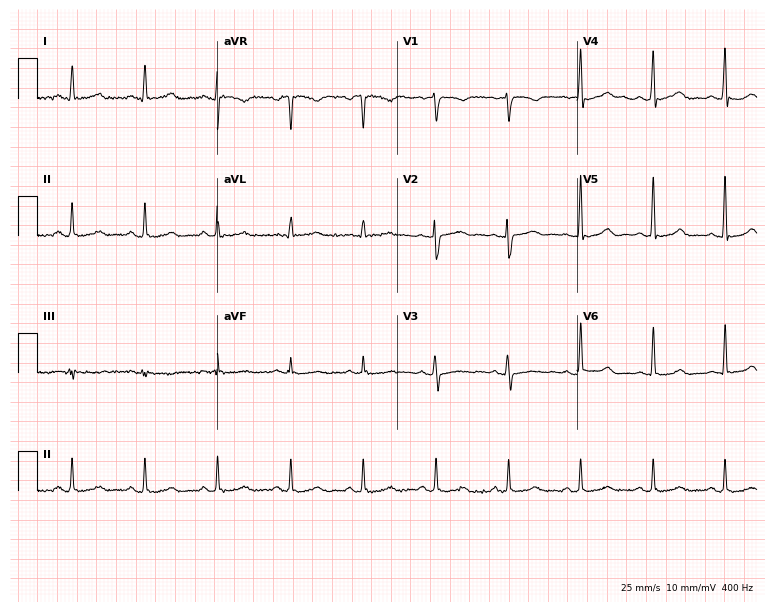
Standard 12-lead ECG recorded from a woman, 49 years old. Read as a normal ECG.